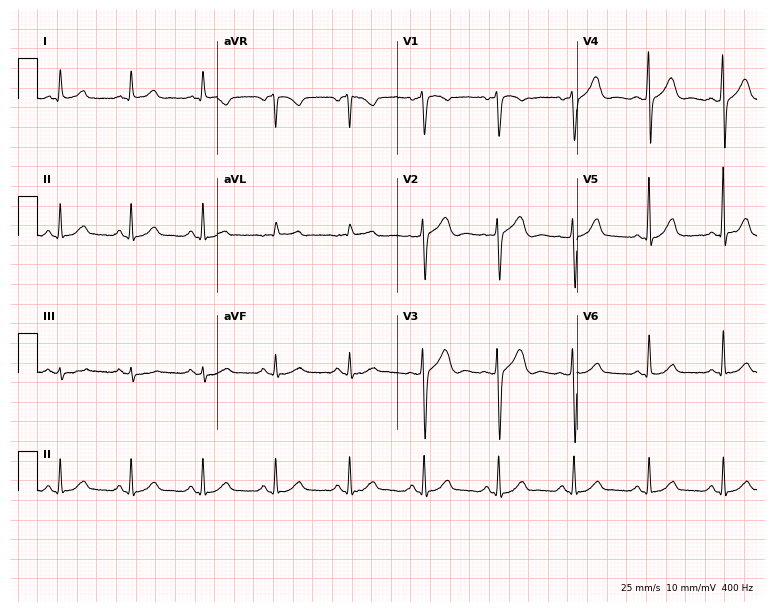
Resting 12-lead electrocardiogram (7.3-second recording at 400 Hz). Patient: a 41-year-old man. Read as a normal ECG.